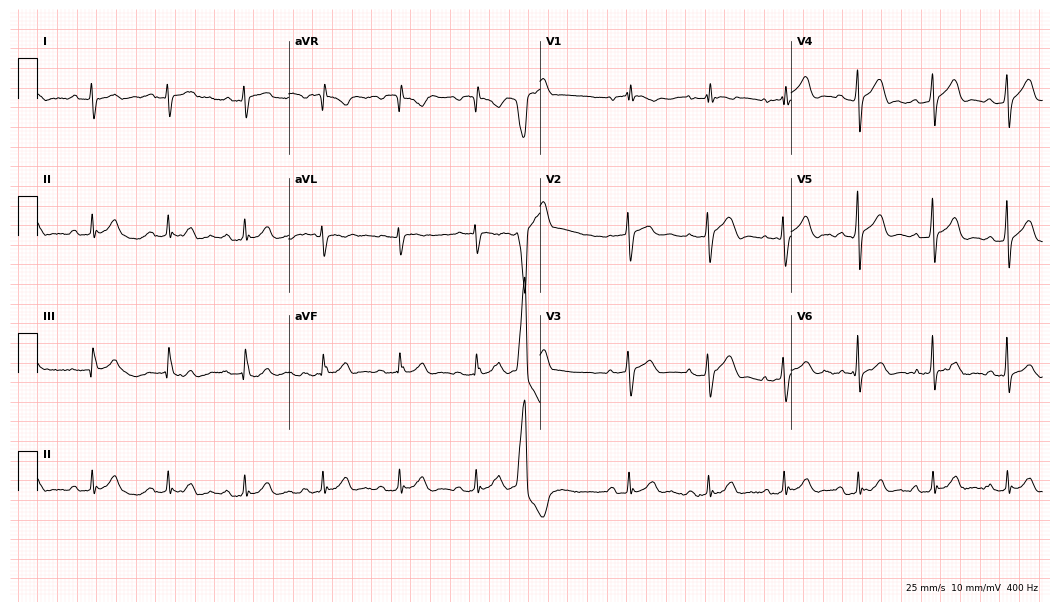
ECG — a male patient, 71 years old. Screened for six findings — first-degree AV block, right bundle branch block (RBBB), left bundle branch block (LBBB), sinus bradycardia, atrial fibrillation (AF), sinus tachycardia — none is recorded. Only these six findings were labelled.